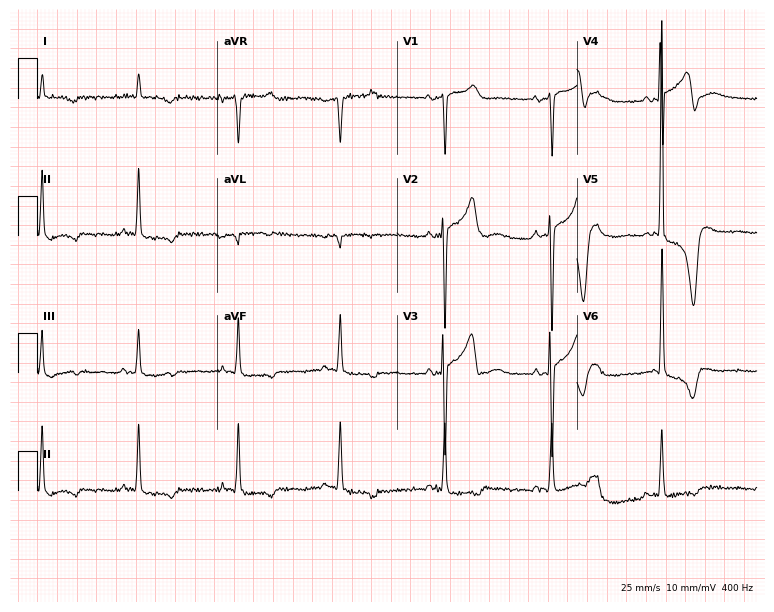
12-lead ECG from a male patient, 84 years old (7.3-second recording at 400 Hz). No first-degree AV block, right bundle branch block, left bundle branch block, sinus bradycardia, atrial fibrillation or sinus tachycardia recorded for this tracing.